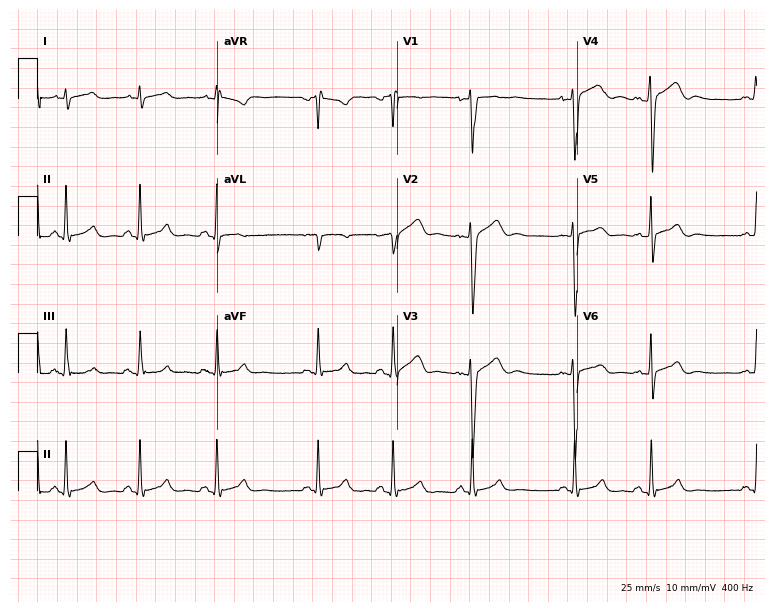
Standard 12-lead ECG recorded from a 40-year-old male. Read as a normal ECG.